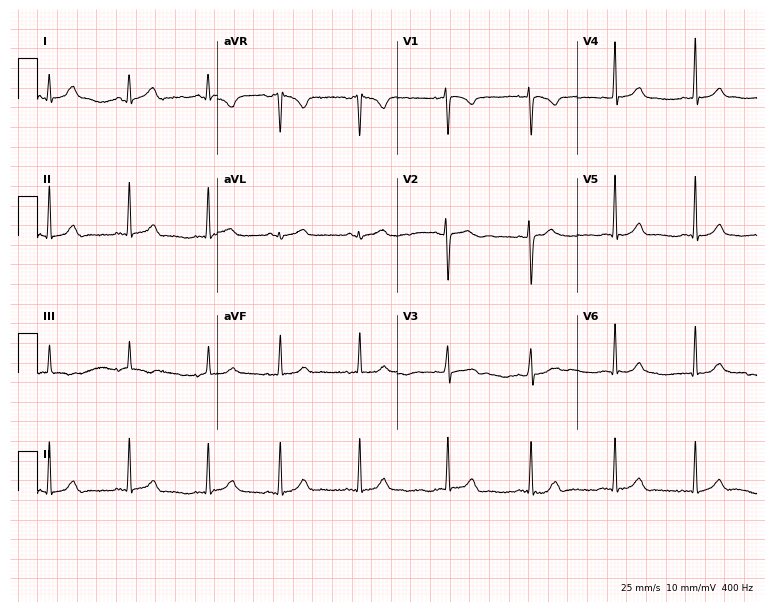
Electrocardiogram, an 18-year-old female. Overall reading on record: normal ECG.